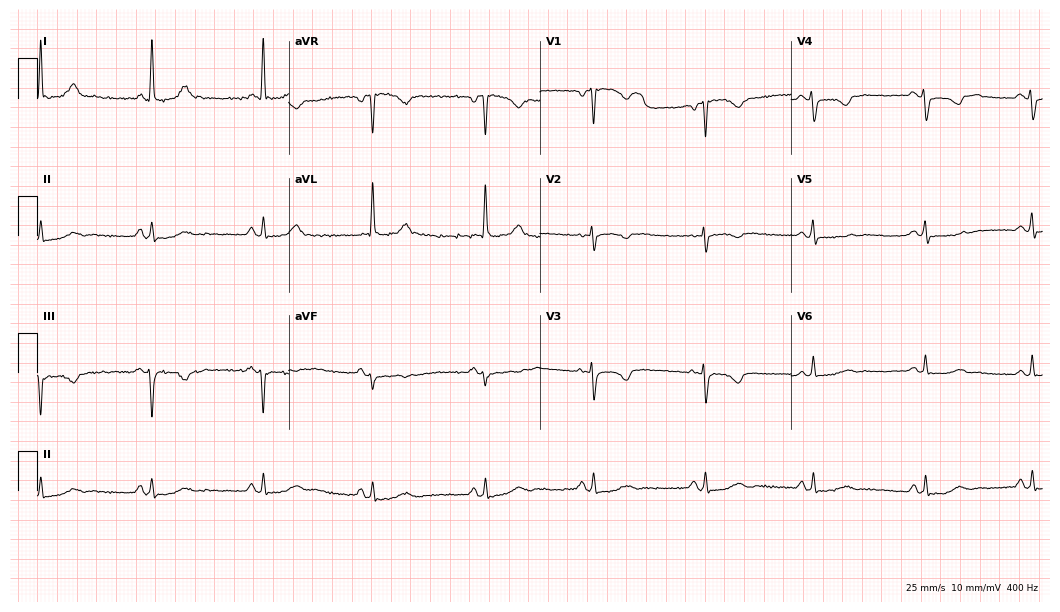
Standard 12-lead ECG recorded from a woman, 49 years old. Read as a normal ECG.